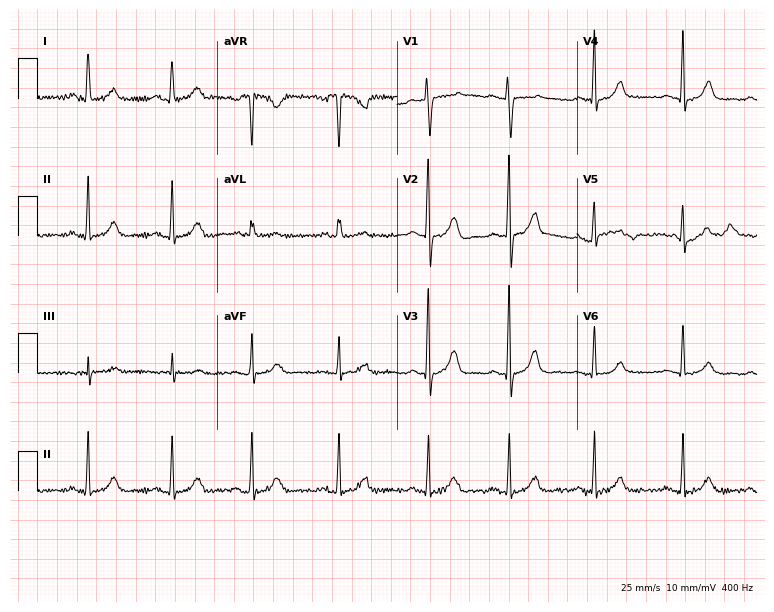
ECG — a female patient, 18 years old. Labelled as a normal ECG.